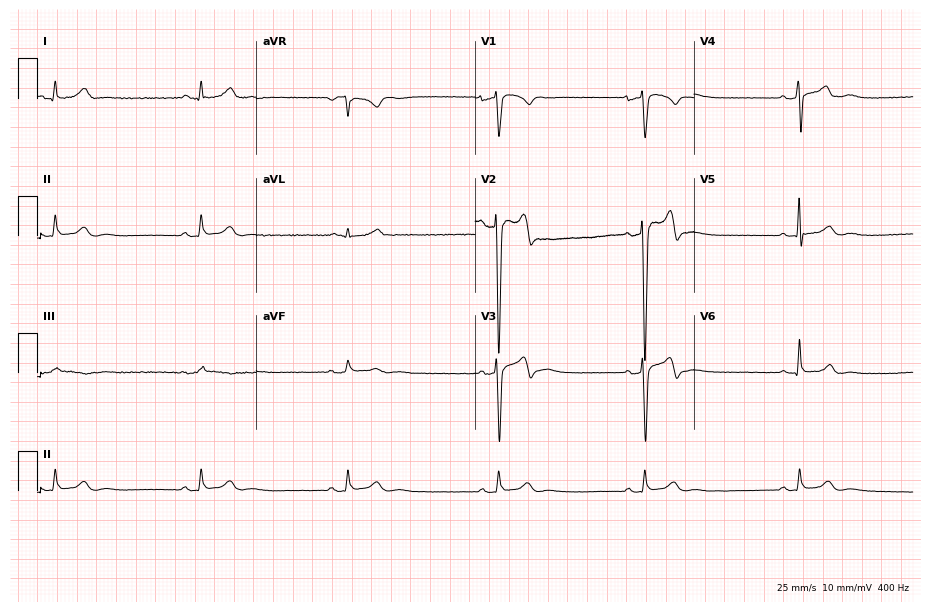
Resting 12-lead electrocardiogram. Patient: a 26-year-old man. The tracing shows sinus bradycardia (a sinus rate of 50 beats per minute or less).